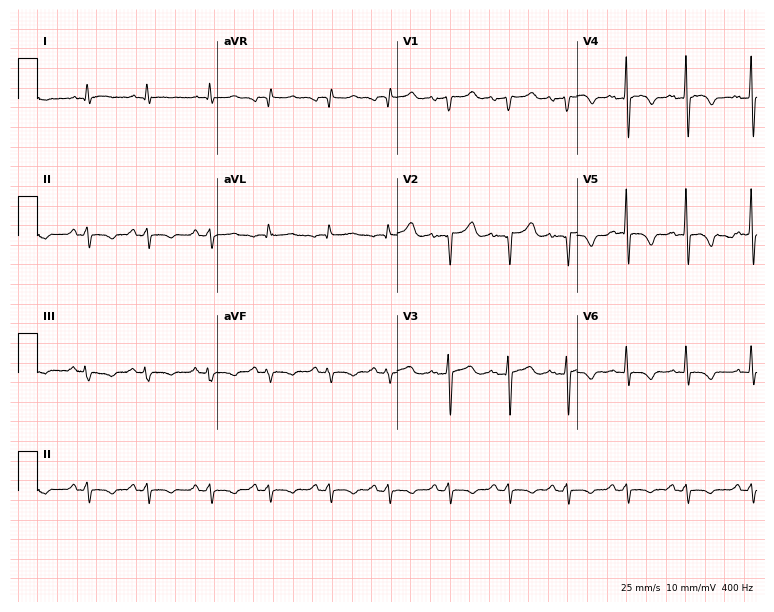
Resting 12-lead electrocardiogram (7.3-second recording at 400 Hz). Patient: a 72-year-old man. None of these six findings is recorded: first-degree AV block, right bundle branch block, left bundle branch block, sinus bradycardia, atrial fibrillation, sinus tachycardia.